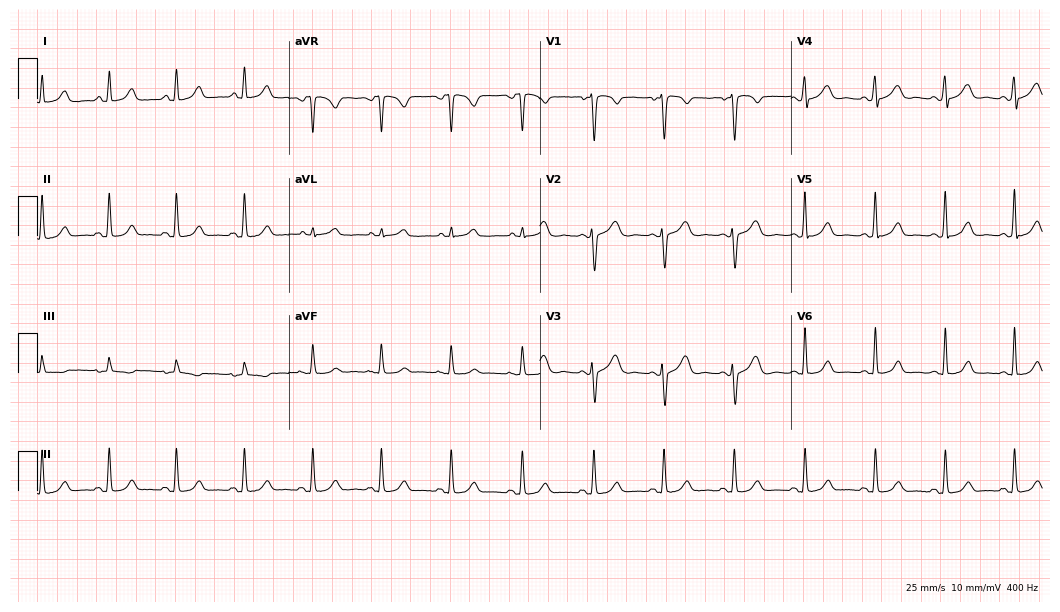
Standard 12-lead ECG recorded from a 29-year-old woman (10.2-second recording at 400 Hz). Read as a normal ECG.